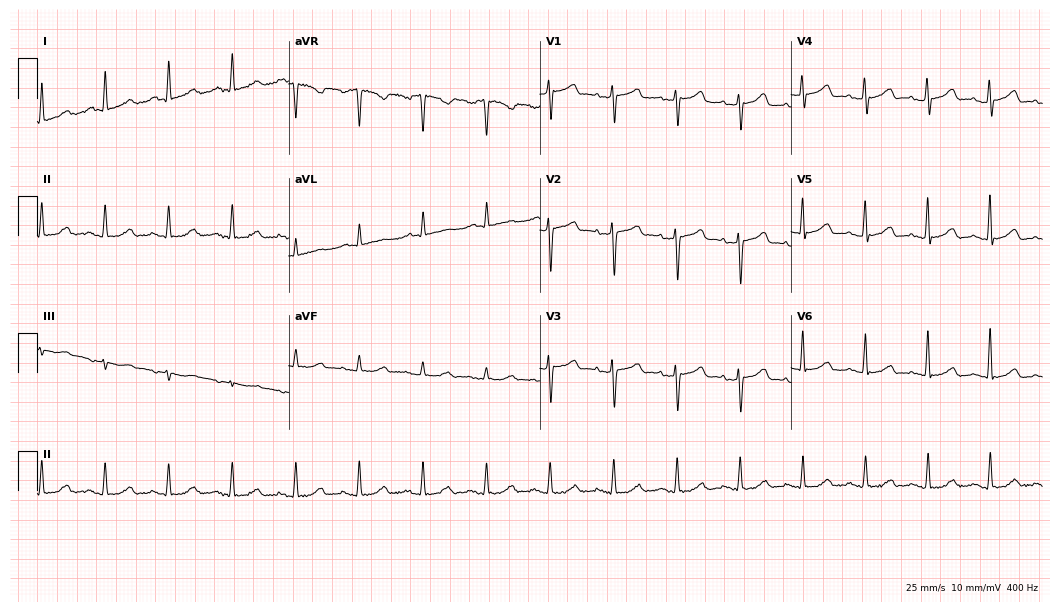
Electrocardiogram, an 81-year-old woman. Overall reading on record: normal ECG.